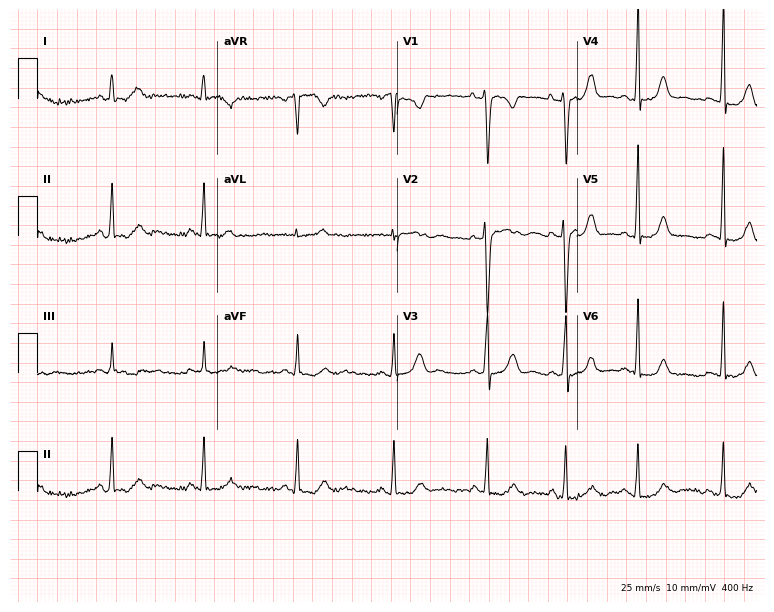
Resting 12-lead electrocardiogram. Patient: a 19-year-old female. Read as a normal ECG.